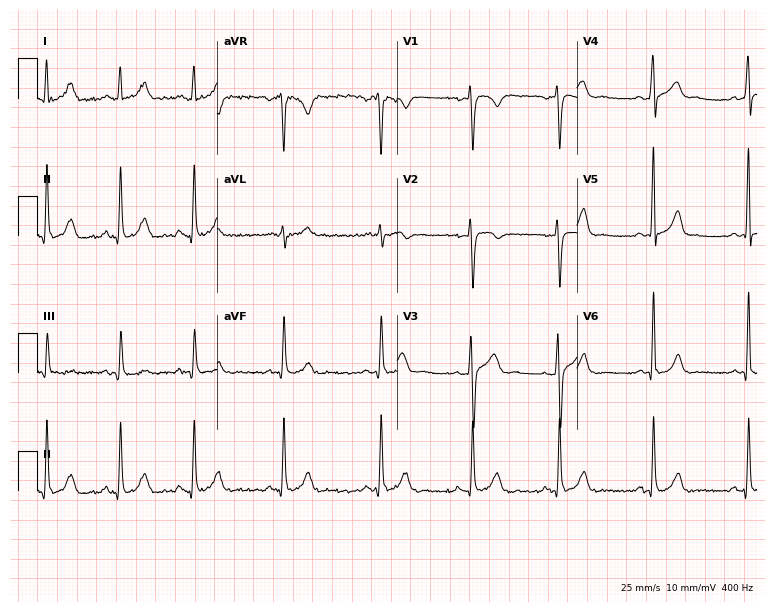
12-lead ECG from a 24-year-old man. Recorded interpretation: within normal limits.